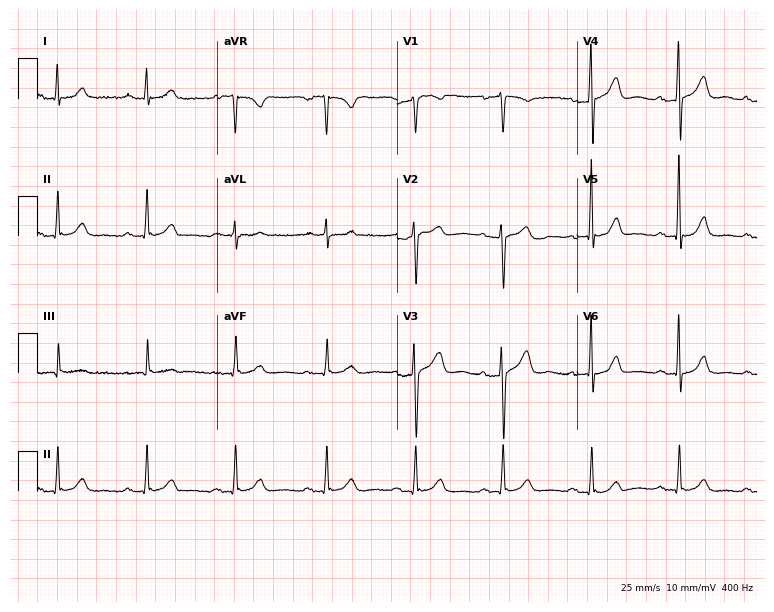
Resting 12-lead electrocardiogram. Patient: a 55-year-old man. None of these six findings is recorded: first-degree AV block, right bundle branch block, left bundle branch block, sinus bradycardia, atrial fibrillation, sinus tachycardia.